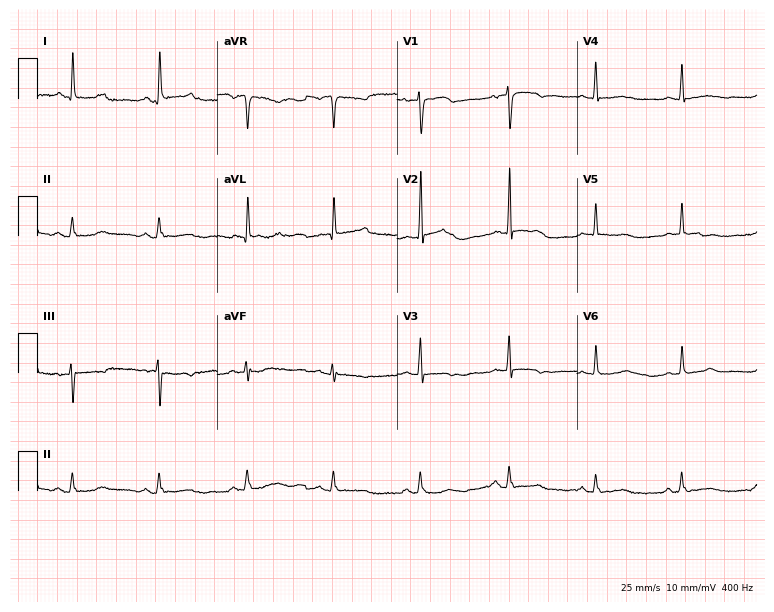
12-lead ECG from a 54-year-old female (7.3-second recording at 400 Hz). Recorded interpretation: within normal limits.